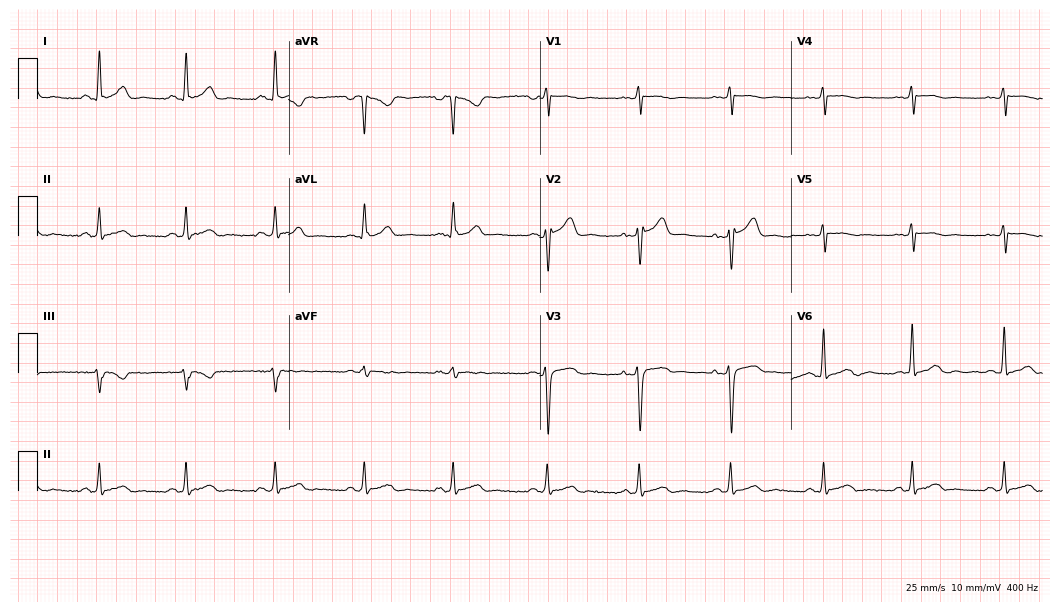
12-lead ECG from a male, 39 years old. Labelled as a normal ECG.